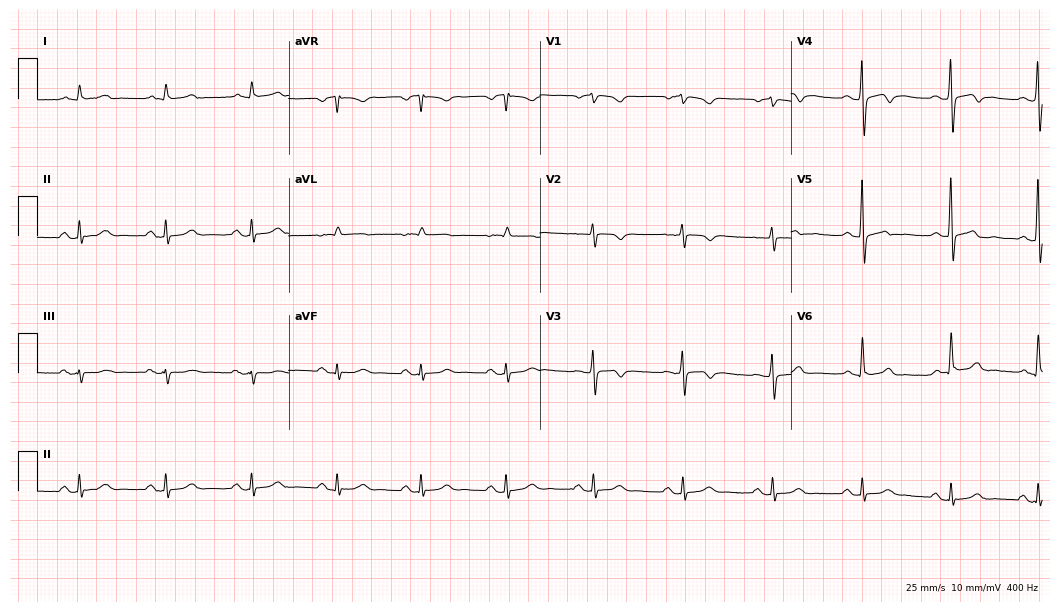
ECG — a man, 75 years old. Screened for six findings — first-degree AV block, right bundle branch block (RBBB), left bundle branch block (LBBB), sinus bradycardia, atrial fibrillation (AF), sinus tachycardia — none is recorded. Only these six findings were labelled.